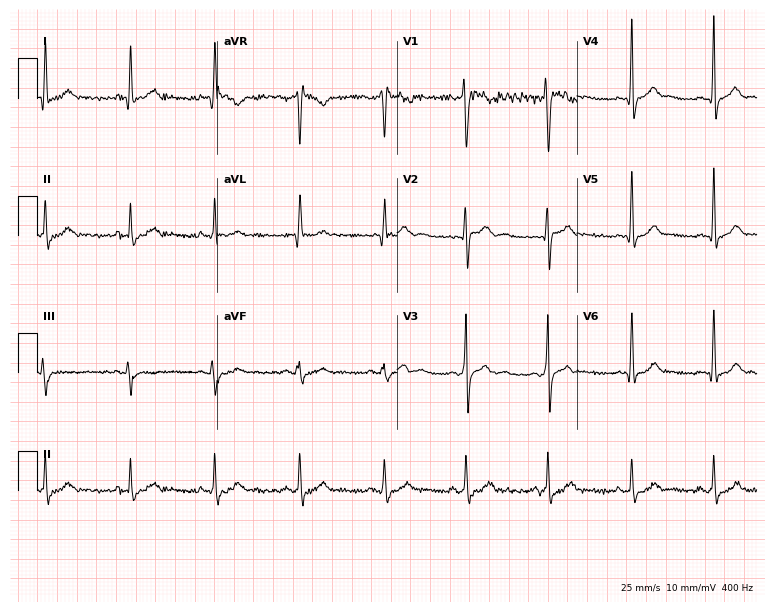
Electrocardiogram (7.3-second recording at 400 Hz), a 26-year-old male. Of the six screened findings (first-degree AV block, right bundle branch block (RBBB), left bundle branch block (LBBB), sinus bradycardia, atrial fibrillation (AF), sinus tachycardia), none is recorded.